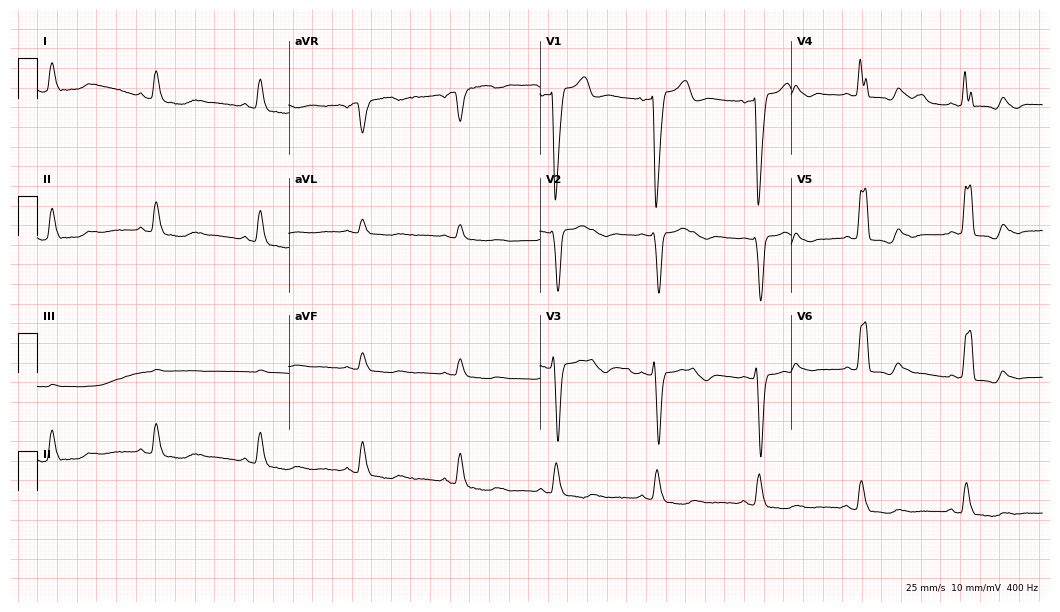
Resting 12-lead electrocardiogram (10.2-second recording at 400 Hz). Patient: a male, 68 years old. The tracing shows left bundle branch block.